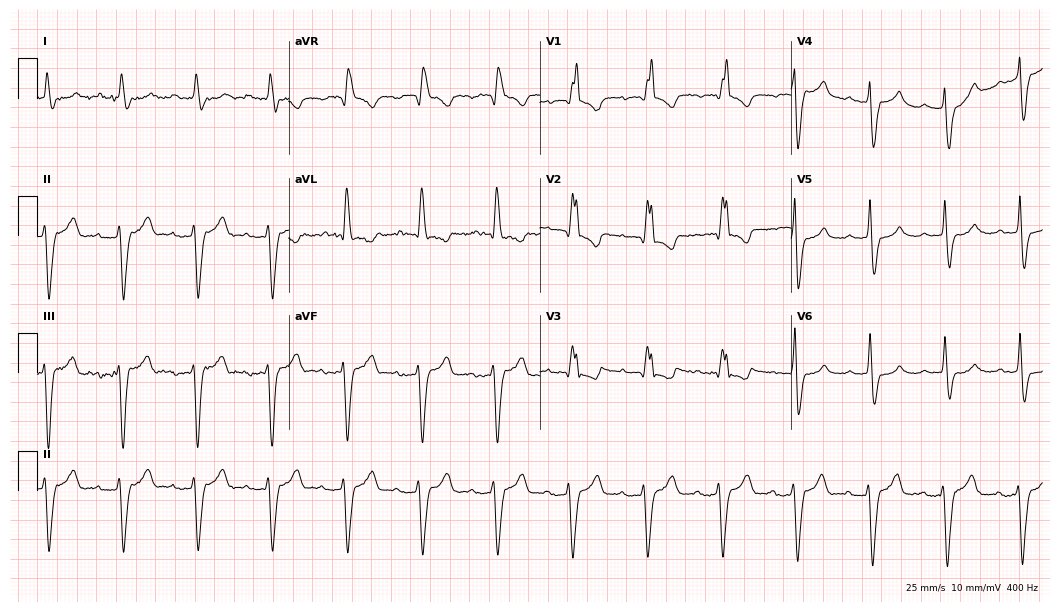
ECG (10.2-second recording at 400 Hz) — a man, 85 years old. Findings include first-degree AV block, right bundle branch block (RBBB).